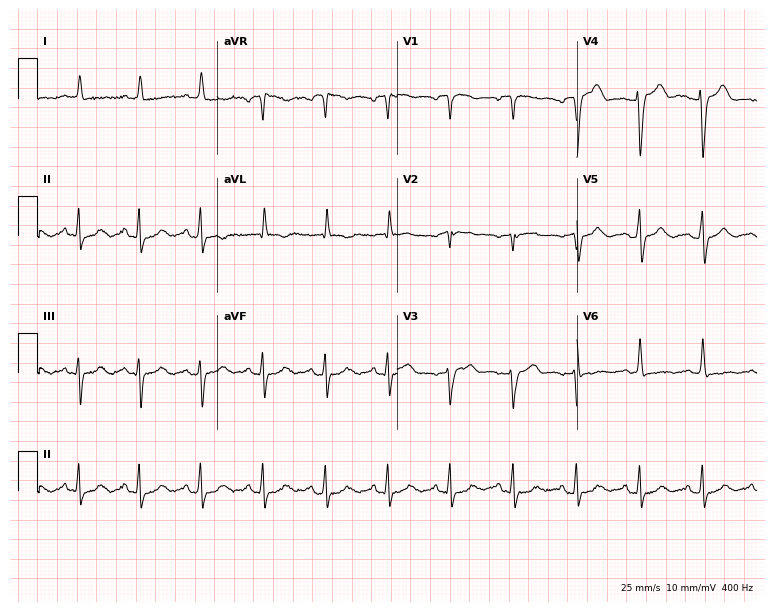
12-lead ECG from a female, 78 years old (7.3-second recording at 400 Hz). No first-degree AV block, right bundle branch block, left bundle branch block, sinus bradycardia, atrial fibrillation or sinus tachycardia recorded for this tracing. Other findings, if any, are not listed.